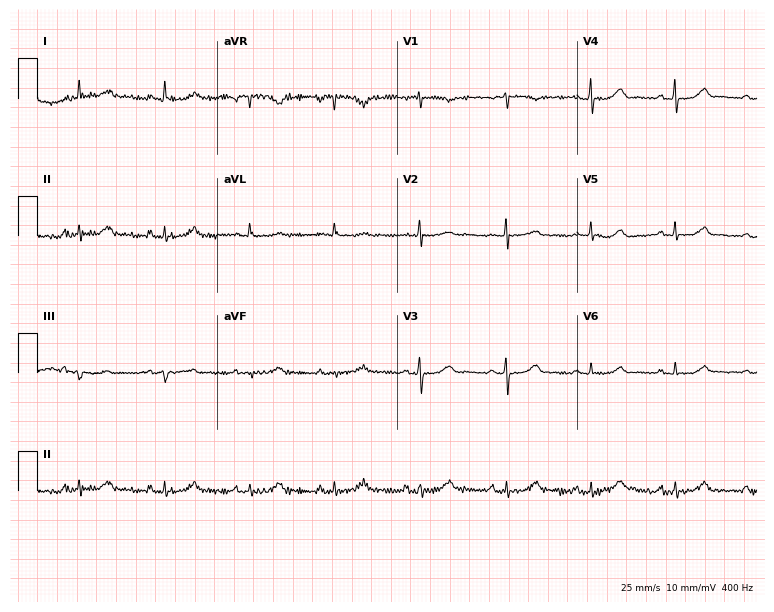
12-lead ECG (7.3-second recording at 400 Hz) from a woman, 71 years old. Labelled as a normal ECG.